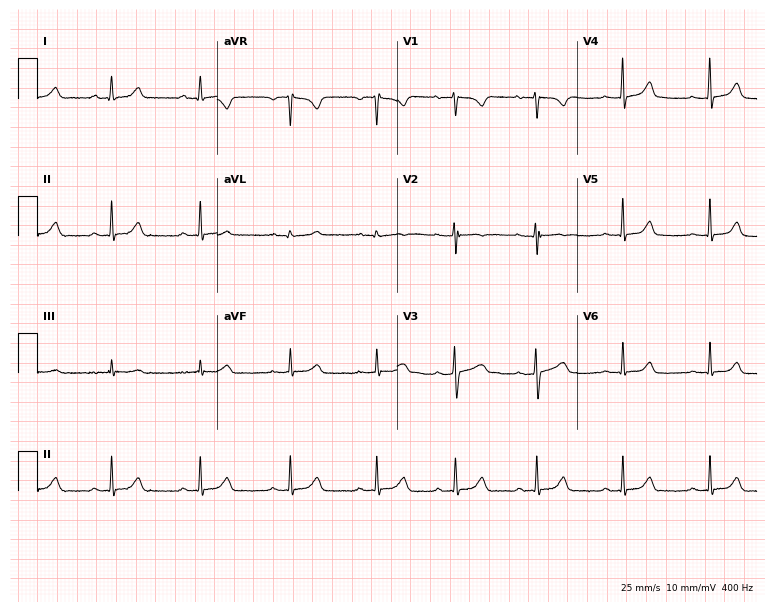
Electrocardiogram, a 28-year-old female. Overall reading on record: normal ECG.